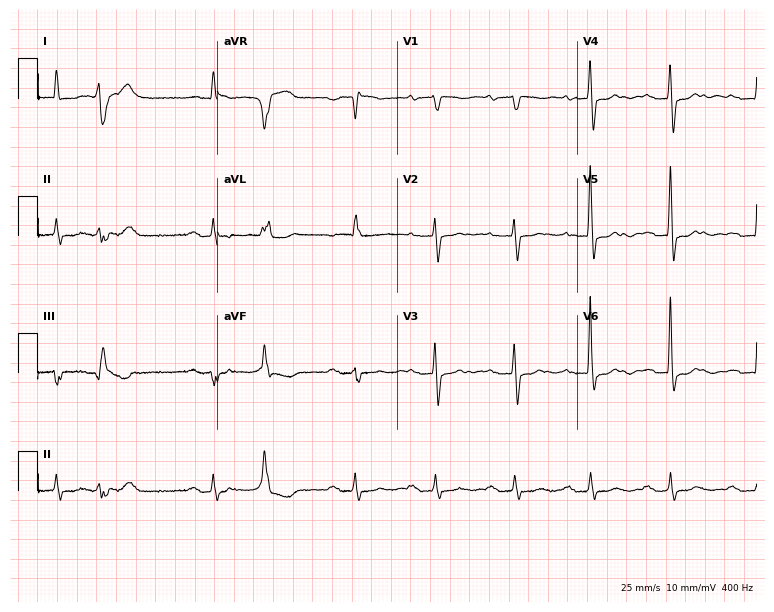
Standard 12-lead ECG recorded from a 76-year-old woman (7.3-second recording at 400 Hz). None of these six findings is recorded: first-degree AV block, right bundle branch block, left bundle branch block, sinus bradycardia, atrial fibrillation, sinus tachycardia.